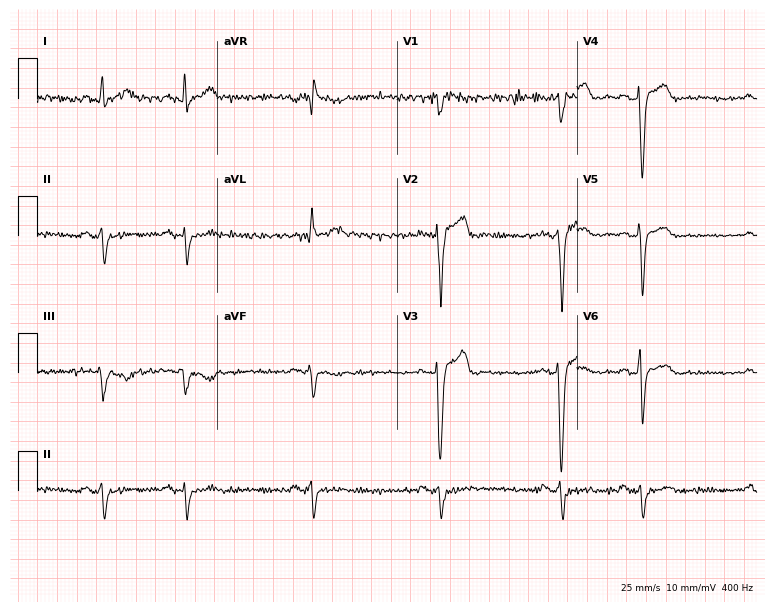
Standard 12-lead ECG recorded from a male, 36 years old. The tracing shows left bundle branch block.